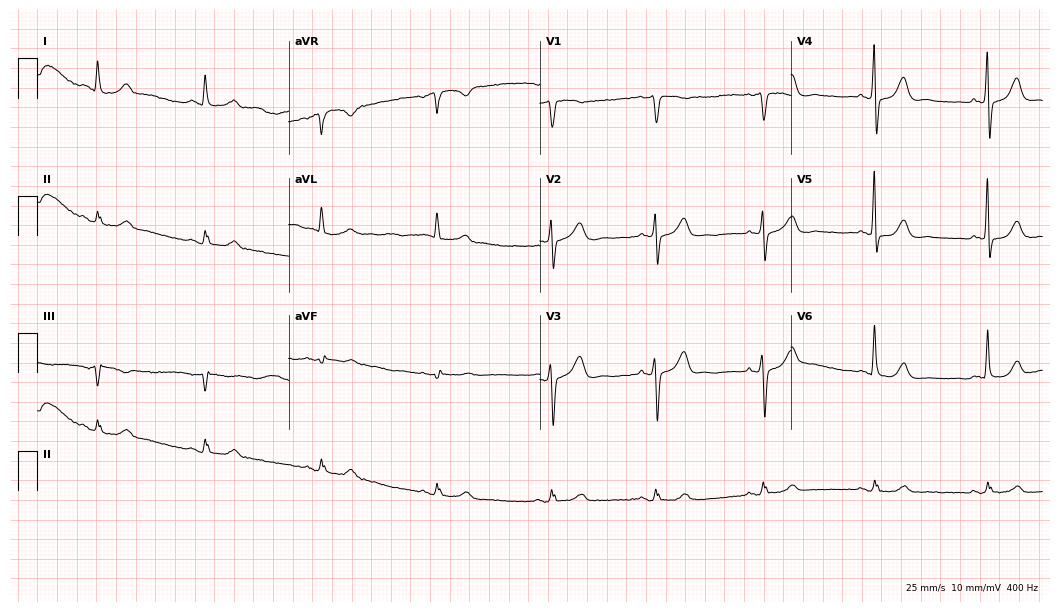
Electrocardiogram (10.2-second recording at 400 Hz), an 81-year-old man. Overall reading on record: normal ECG.